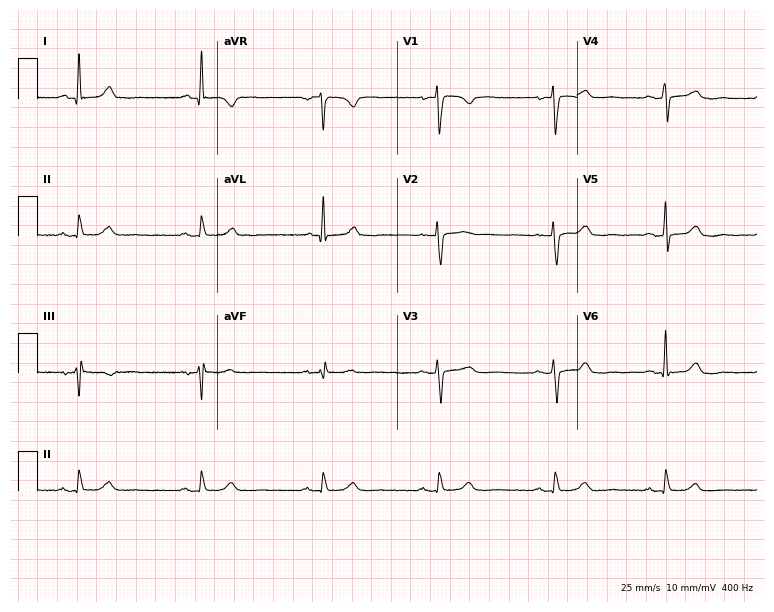
12-lead ECG from a female, 62 years old (7.3-second recording at 400 Hz). No first-degree AV block, right bundle branch block, left bundle branch block, sinus bradycardia, atrial fibrillation or sinus tachycardia recorded for this tracing.